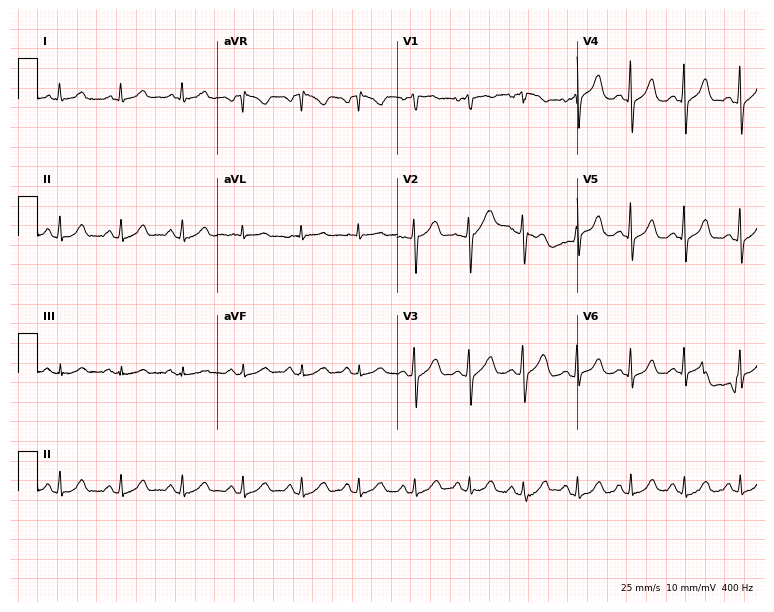
Standard 12-lead ECG recorded from a woman, 54 years old (7.3-second recording at 400 Hz). None of these six findings is recorded: first-degree AV block, right bundle branch block (RBBB), left bundle branch block (LBBB), sinus bradycardia, atrial fibrillation (AF), sinus tachycardia.